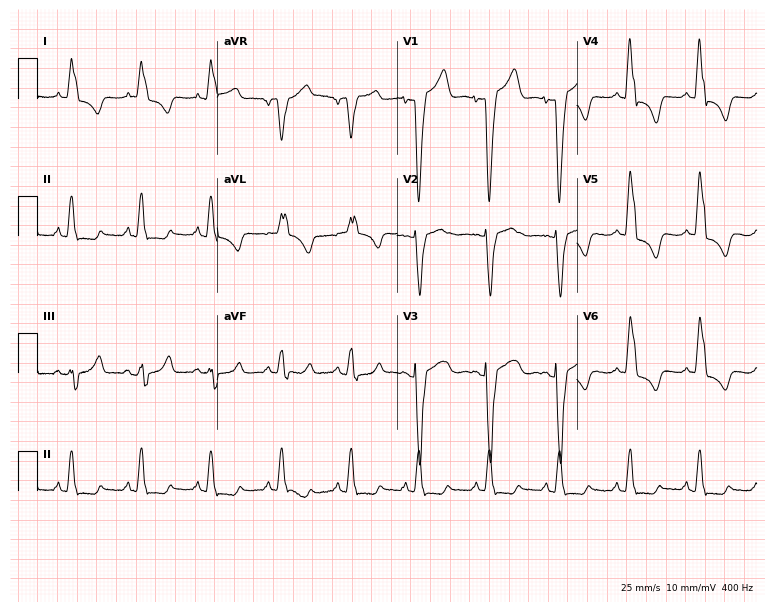
Standard 12-lead ECG recorded from a female, 56 years old (7.3-second recording at 400 Hz). The tracing shows left bundle branch block (LBBB).